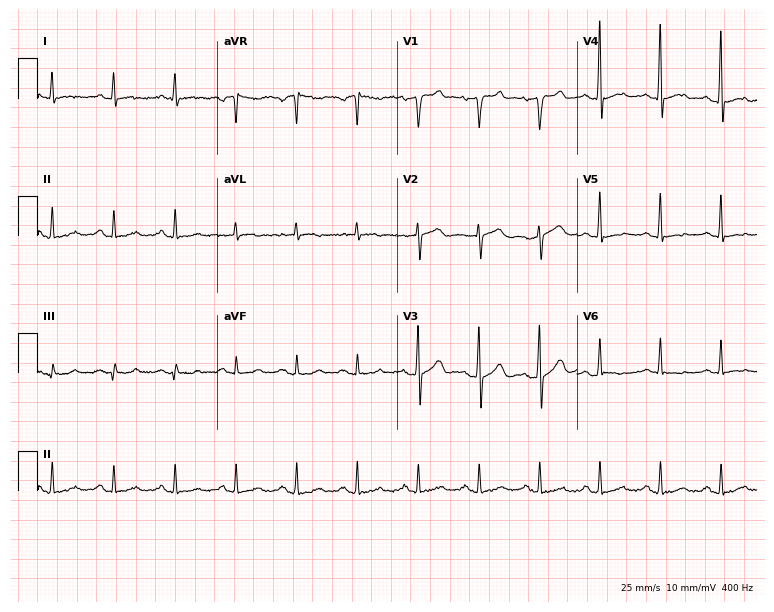
Resting 12-lead electrocardiogram. Patient: a 64-year-old male. Read as a normal ECG.